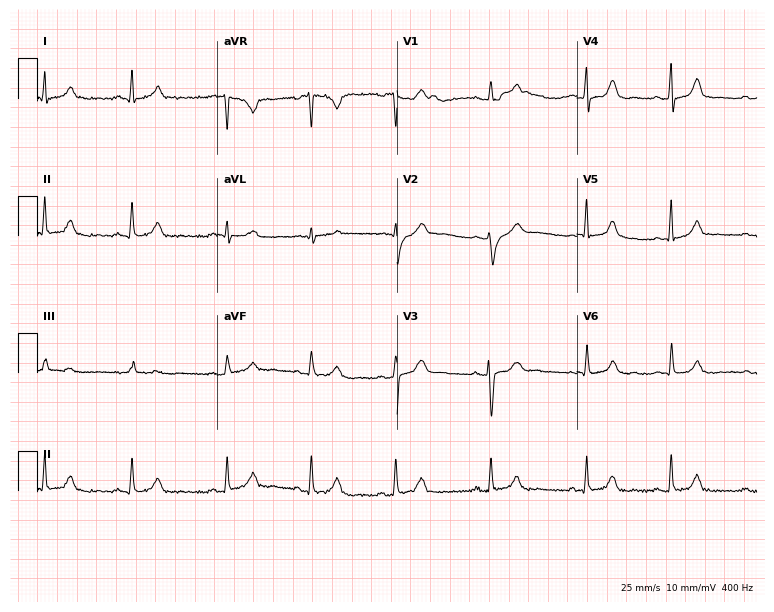
Standard 12-lead ECG recorded from a female patient, 25 years old. Read as a normal ECG.